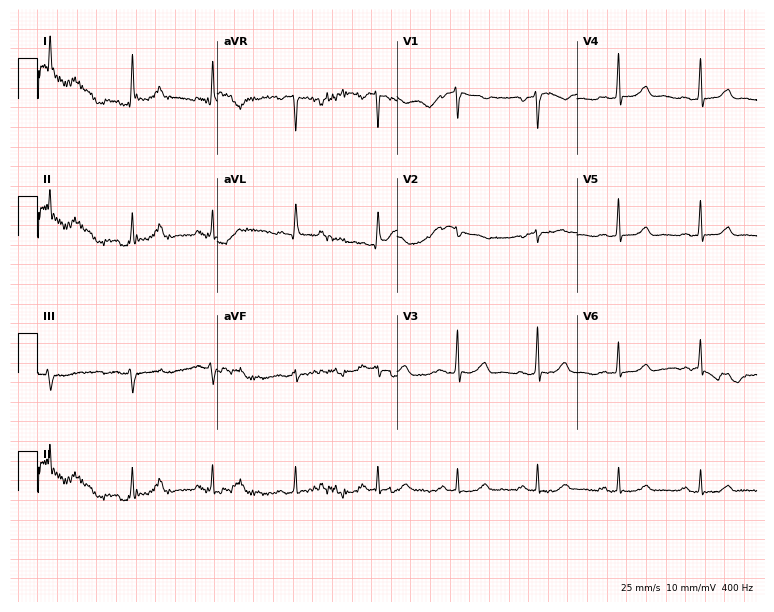
12-lead ECG from a female patient, 48 years old. Recorded interpretation: within normal limits.